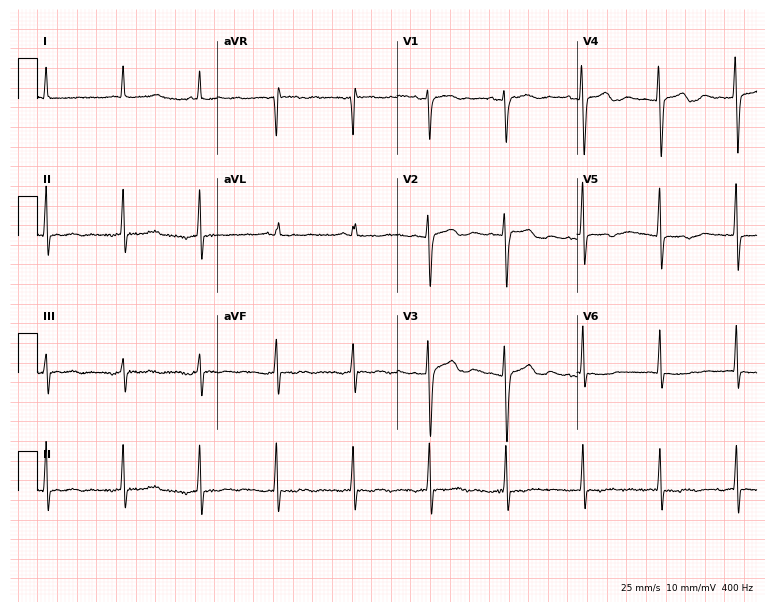
ECG (7.3-second recording at 400 Hz) — a woman, 83 years old. Screened for six findings — first-degree AV block, right bundle branch block, left bundle branch block, sinus bradycardia, atrial fibrillation, sinus tachycardia — none is recorded. Other findings, if any, are not listed.